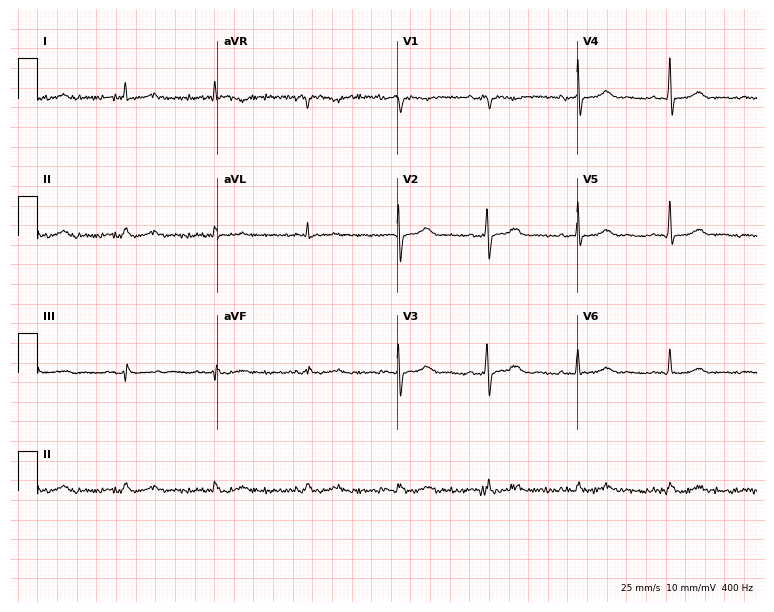
12-lead ECG from a man, 73 years old. No first-degree AV block, right bundle branch block, left bundle branch block, sinus bradycardia, atrial fibrillation or sinus tachycardia recorded for this tracing. Findings outside these six are not listed.